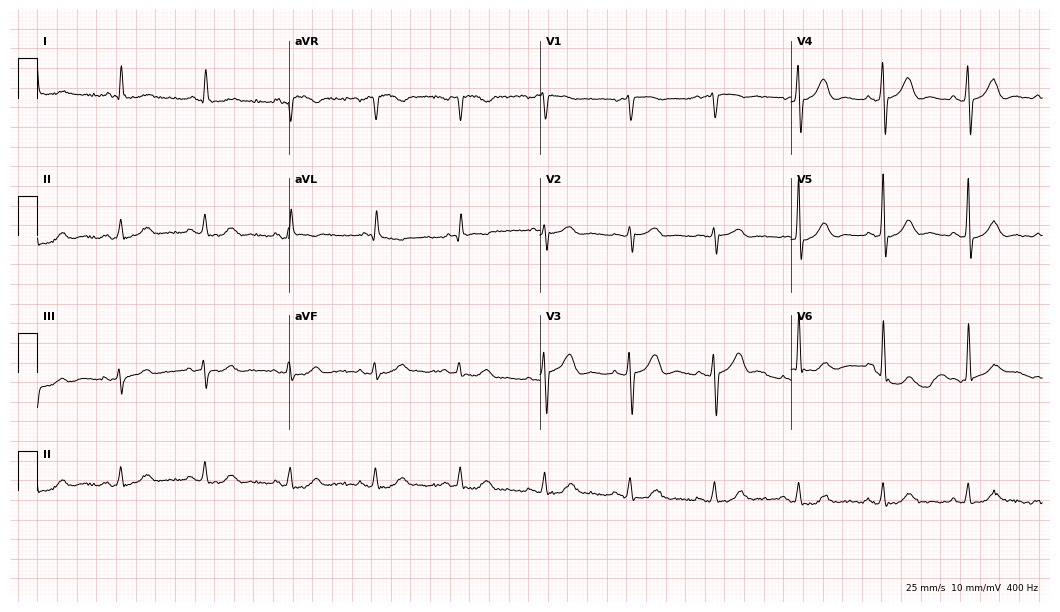
ECG (10.2-second recording at 400 Hz) — an 85-year-old man. Labelled as a normal ECG.